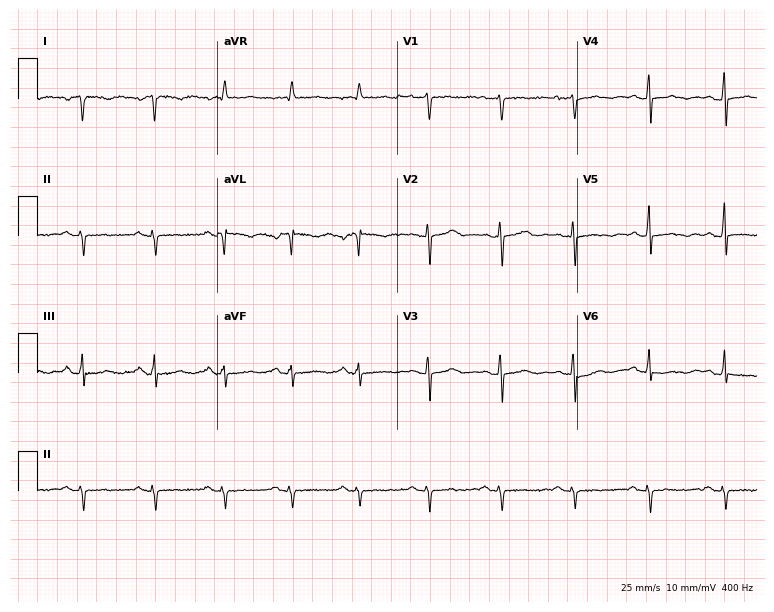
12-lead ECG from a 63-year-old woman. No first-degree AV block, right bundle branch block (RBBB), left bundle branch block (LBBB), sinus bradycardia, atrial fibrillation (AF) or sinus tachycardia recorded for this tracing. Findings outside these six are not listed.